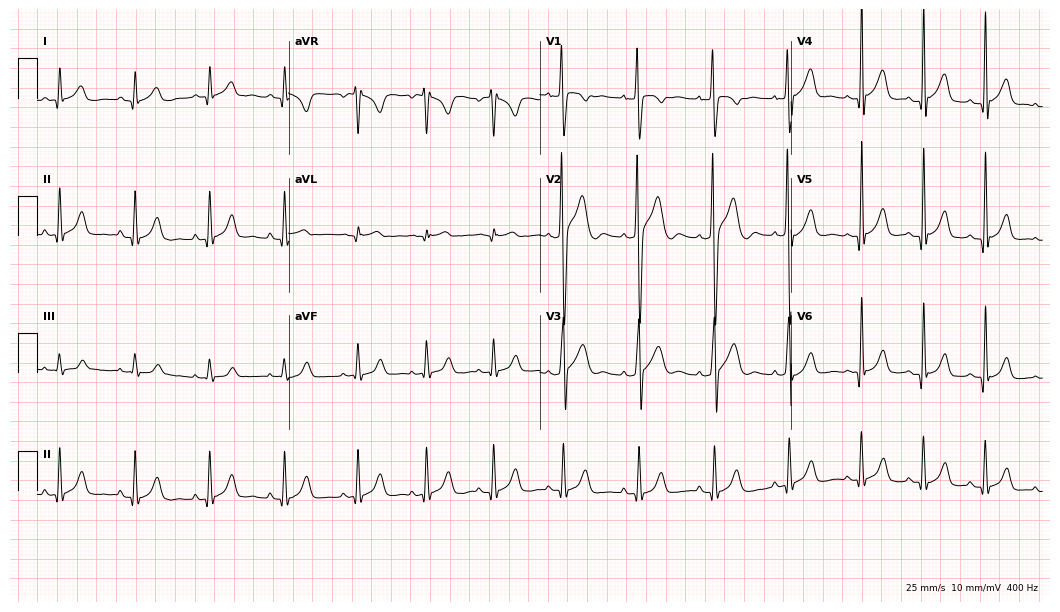
ECG (10.2-second recording at 400 Hz) — a 22-year-old man. Screened for six findings — first-degree AV block, right bundle branch block (RBBB), left bundle branch block (LBBB), sinus bradycardia, atrial fibrillation (AF), sinus tachycardia — none is recorded. Only these six findings were labelled.